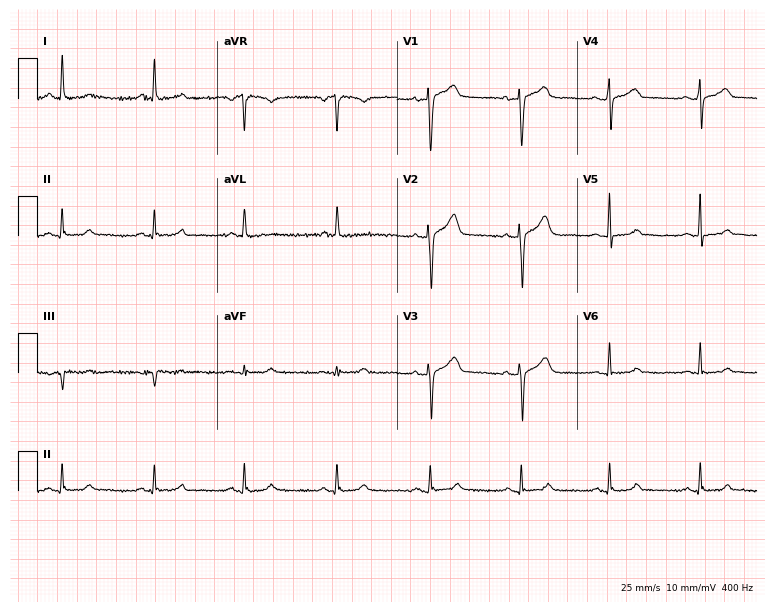
ECG (7.3-second recording at 400 Hz) — a 54-year-old woman. Screened for six findings — first-degree AV block, right bundle branch block, left bundle branch block, sinus bradycardia, atrial fibrillation, sinus tachycardia — none is recorded. Other findings, if any, are not listed.